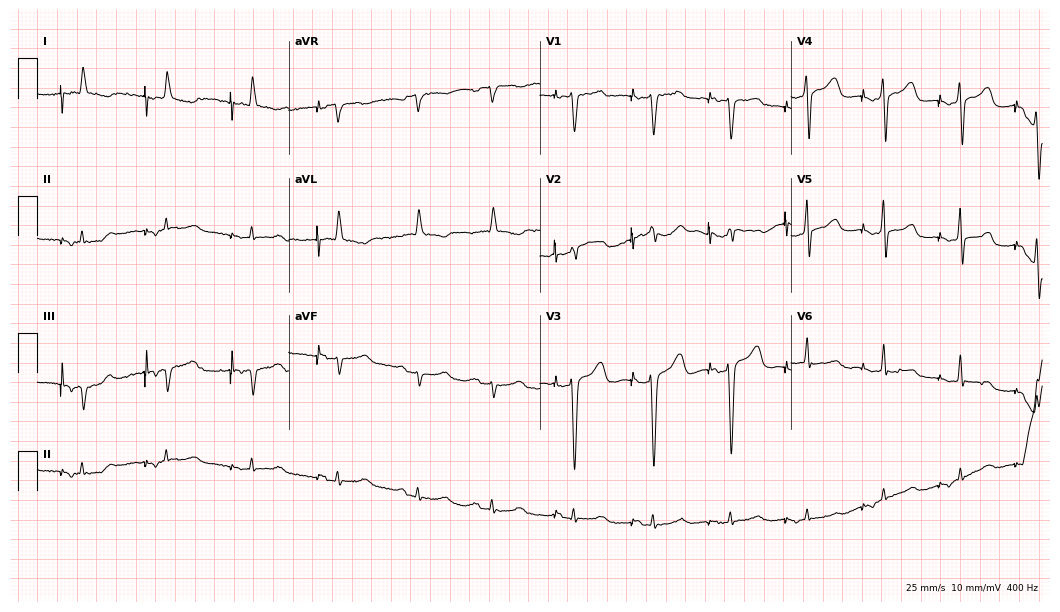
12-lead ECG from a 78-year-old female. No first-degree AV block, right bundle branch block (RBBB), left bundle branch block (LBBB), sinus bradycardia, atrial fibrillation (AF) or sinus tachycardia recorded for this tracing. Findings outside these six are not listed.